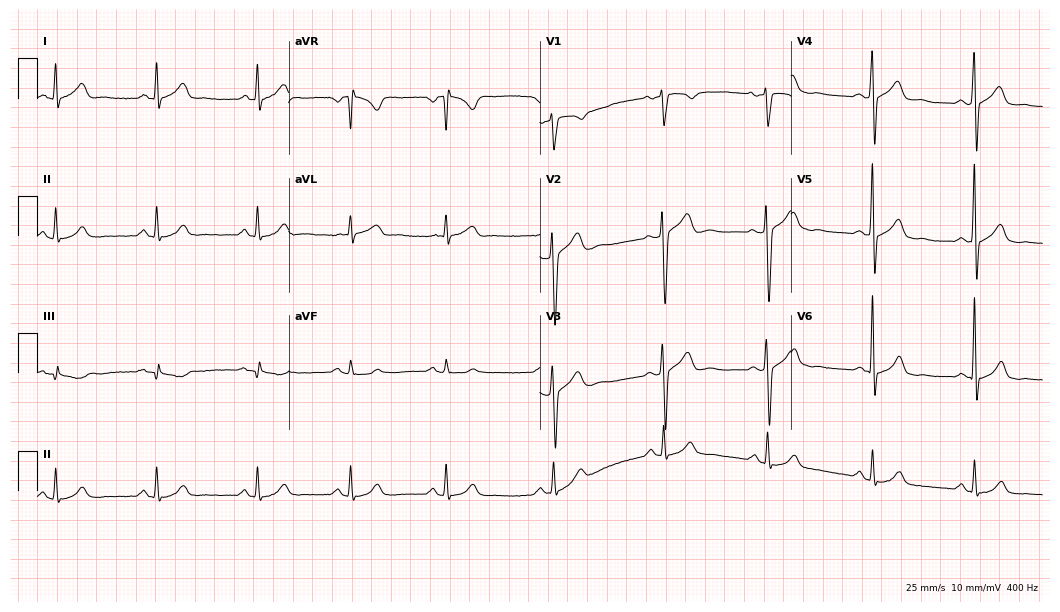
Electrocardiogram, a 39-year-old man. Overall reading on record: normal ECG.